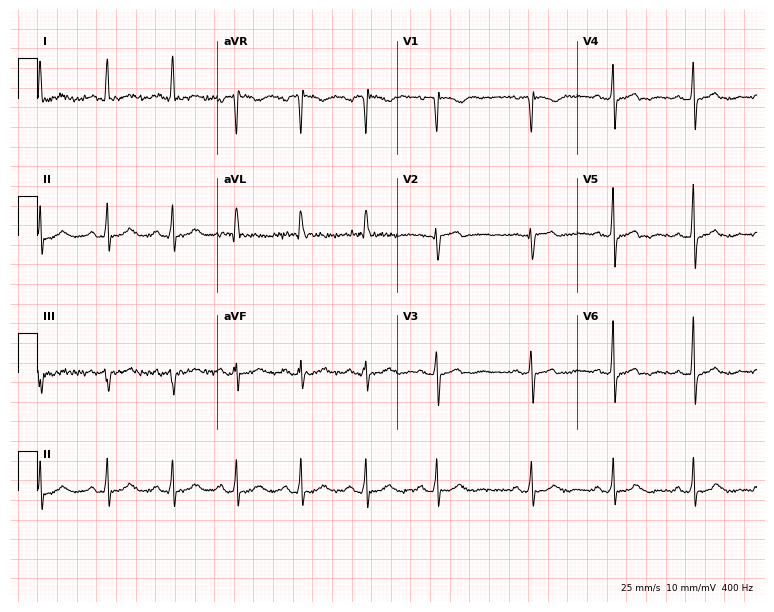
Electrocardiogram, a female patient, 75 years old. Of the six screened findings (first-degree AV block, right bundle branch block, left bundle branch block, sinus bradycardia, atrial fibrillation, sinus tachycardia), none is recorded.